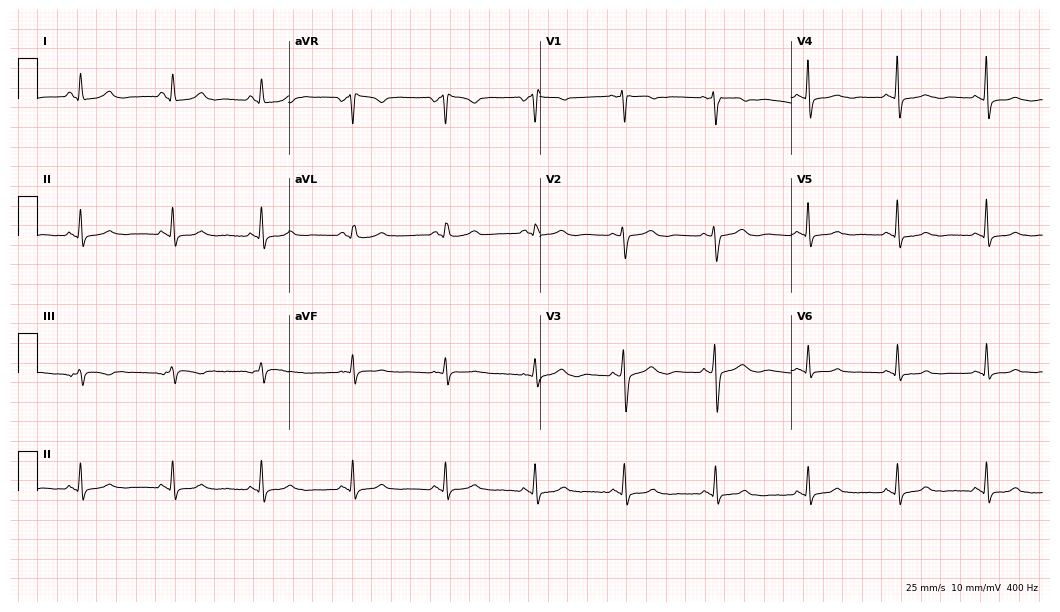
Electrocardiogram (10.2-second recording at 400 Hz), a female patient, 61 years old. Of the six screened findings (first-degree AV block, right bundle branch block, left bundle branch block, sinus bradycardia, atrial fibrillation, sinus tachycardia), none is recorded. Other findings, if any, are not listed.